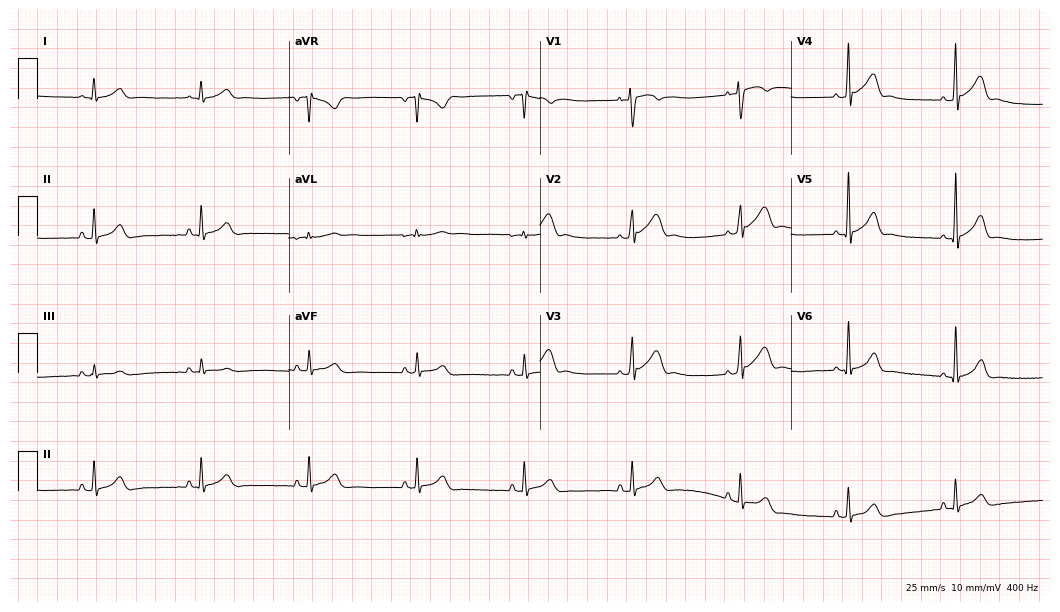
ECG (10.2-second recording at 400 Hz) — a man, 20 years old. Labelled as a normal ECG.